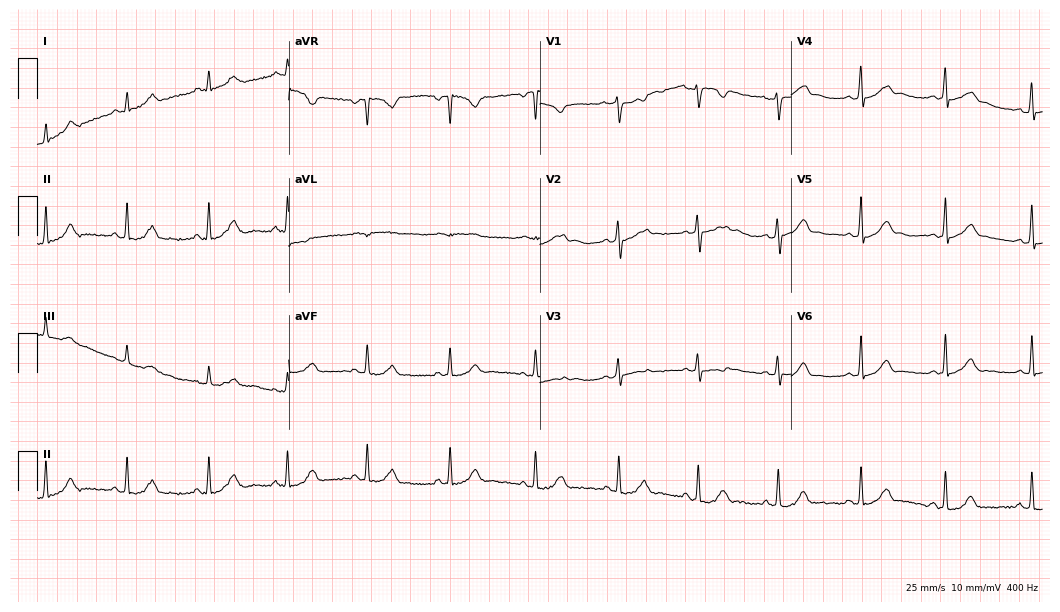
Standard 12-lead ECG recorded from a 37-year-old woman (10.2-second recording at 400 Hz). Read as a normal ECG.